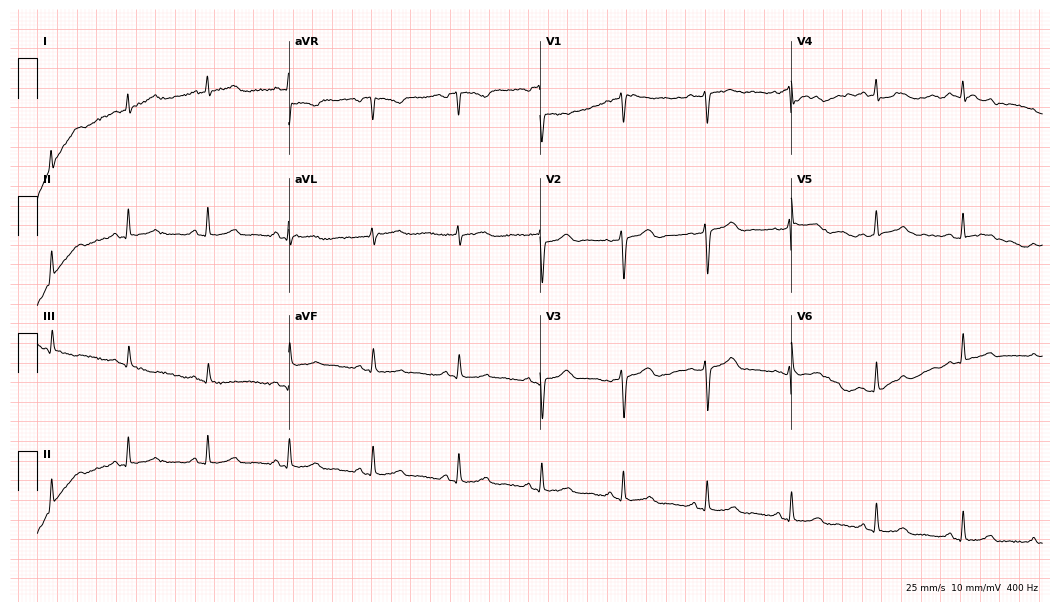
12-lead ECG from a woman, 42 years old. Recorded interpretation: within normal limits.